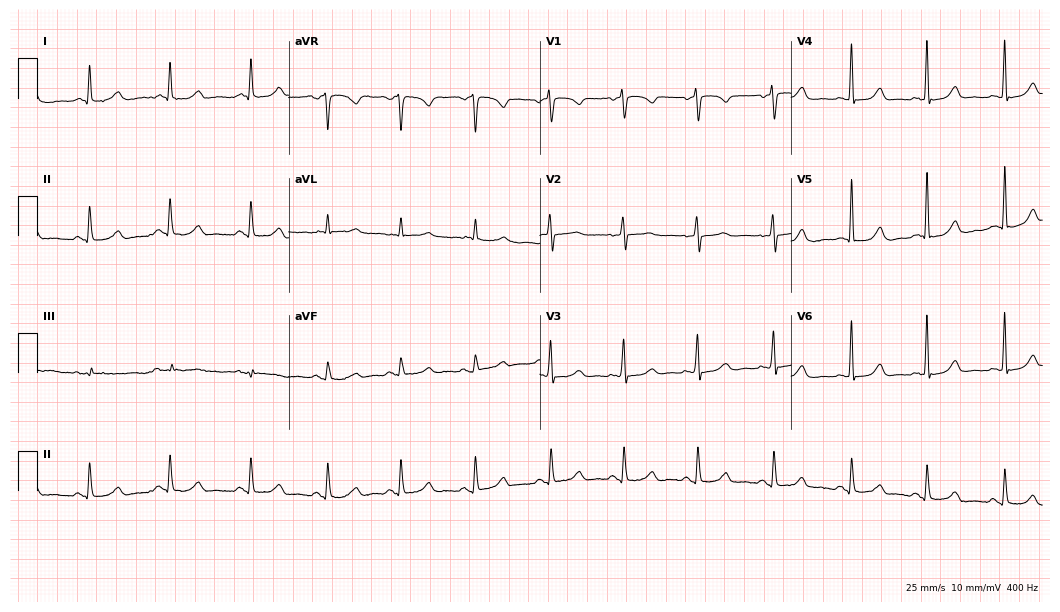
Standard 12-lead ECG recorded from a female, 55 years old (10.2-second recording at 400 Hz). None of these six findings is recorded: first-degree AV block, right bundle branch block (RBBB), left bundle branch block (LBBB), sinus bradycardia, atrial fibrillation (AF), sinus tachycardia. Other findings, if any, are not listed.